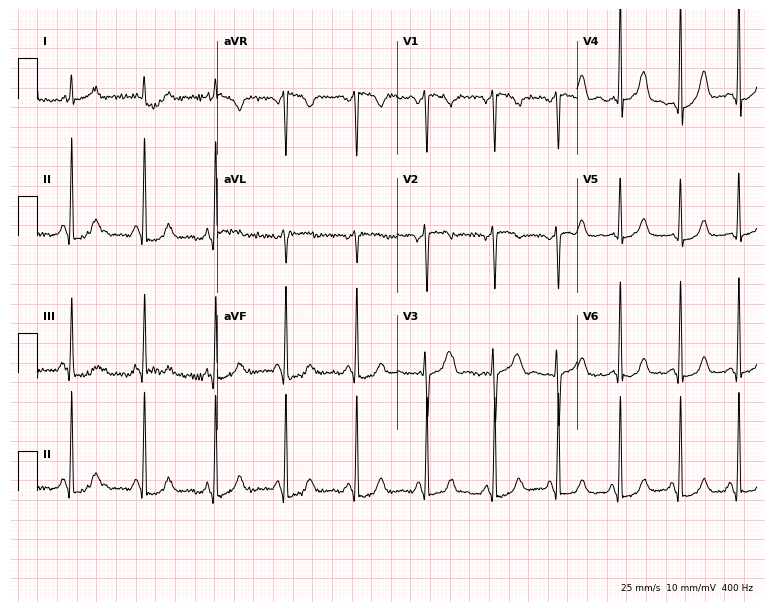
Standard 12-lead ECG recorded from a female patient, 34 years old. None of these six findings is recorded: first-degree AV block, right bundle branch block, left bundle branch block, sinus bradycardia, atrial fibrillation, sinus tachycardia.